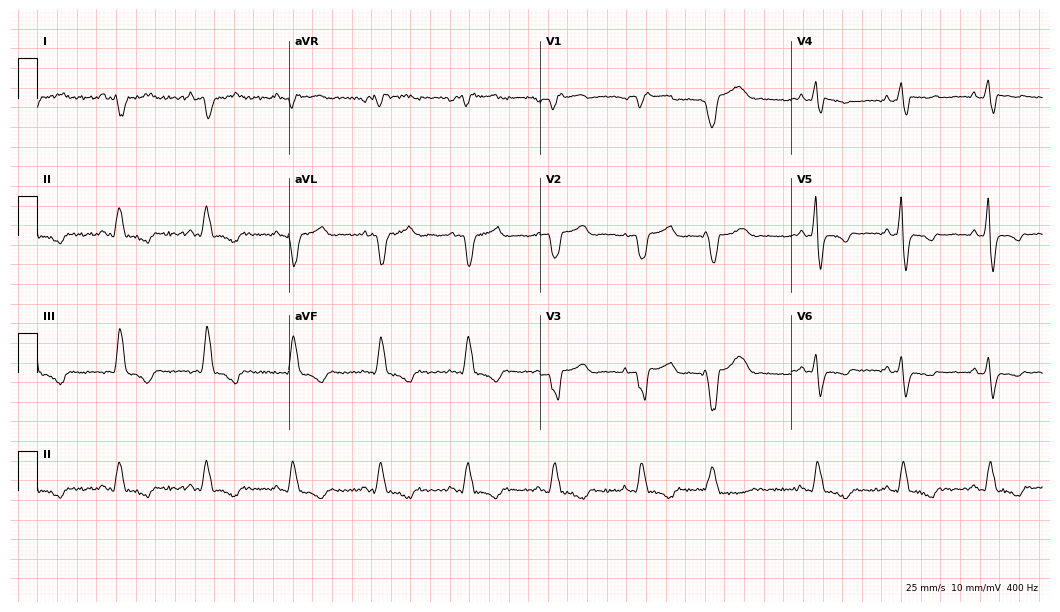
12-lead ECG from a 71-year-old male patient. Shows right bundle branch block.